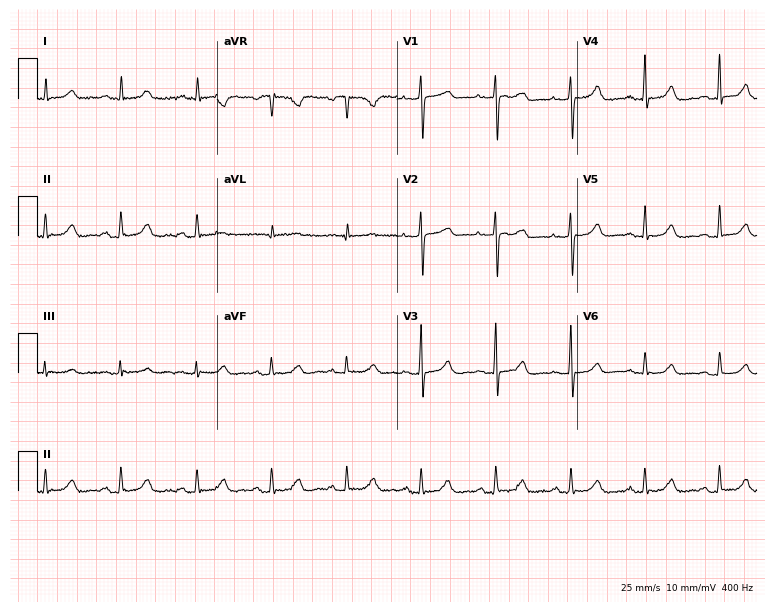
ECG — a woman, 72 years old. Labelled as a normal ECG.